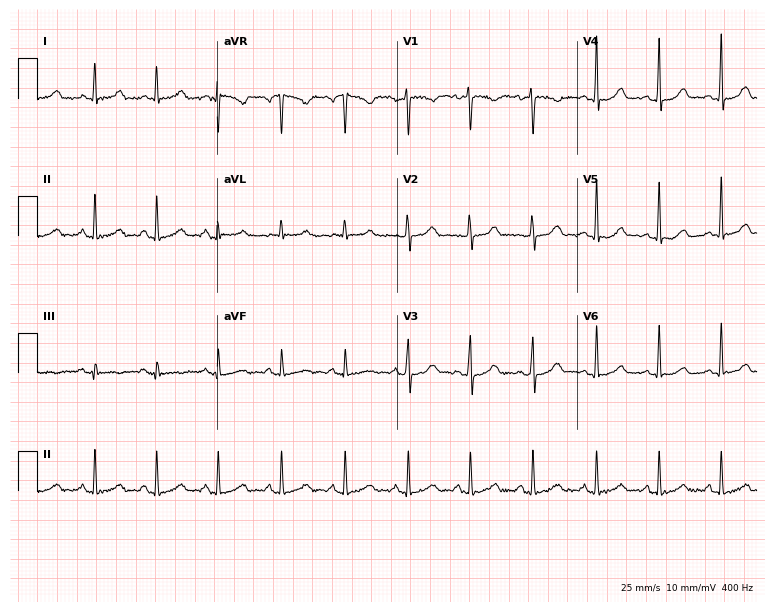
Standard 12-lead ECG recorded from a female, 31 years old (7.3-second recording at 400 Hz). Read as a normal ECG.